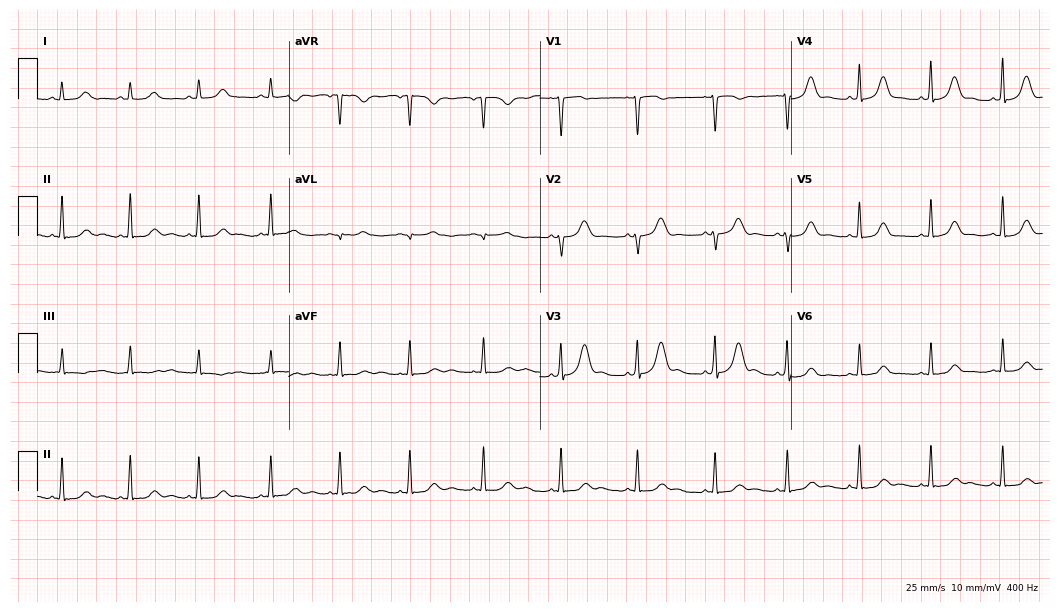
Resting 12-lead electrocardiogram (10.2-second recording at 400 Hz). Patient: a female, 27 years old. Read as a normal ECG.